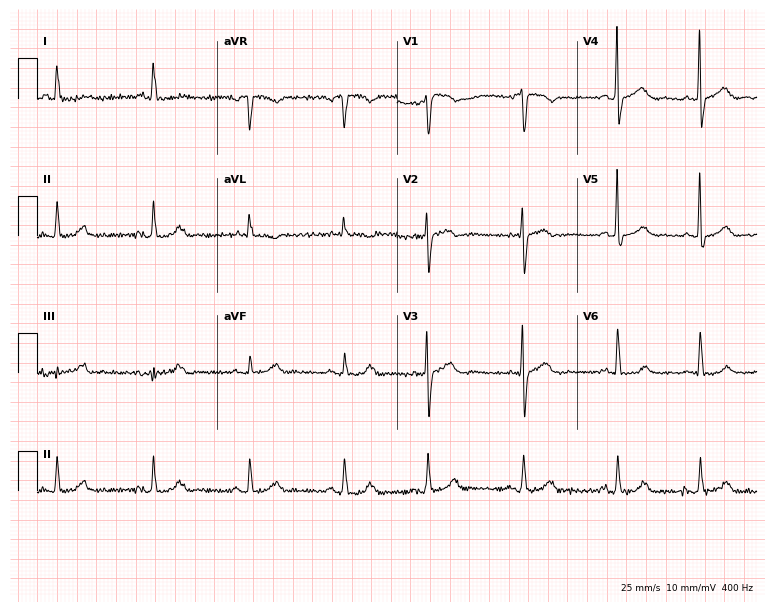
12-lead ECG from a 78-year-old man. Recorded interpretation: within normal limits.